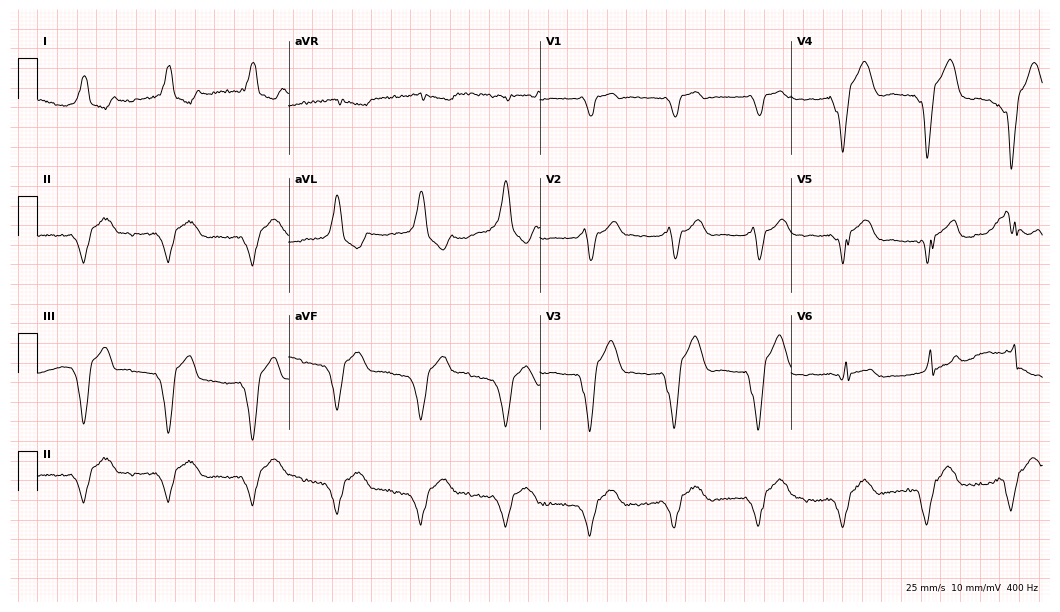
Standard 12-lead ECG recorded from a woman, 44 years old. None of these six findings is recorded: first-degree AV block, right bundle branch block (RBBB), left bundle branch block (LBBB), sinus bradycardia, atrial fibrillation (AF), sinus tachycardia. Other findings, if any, are not listed.